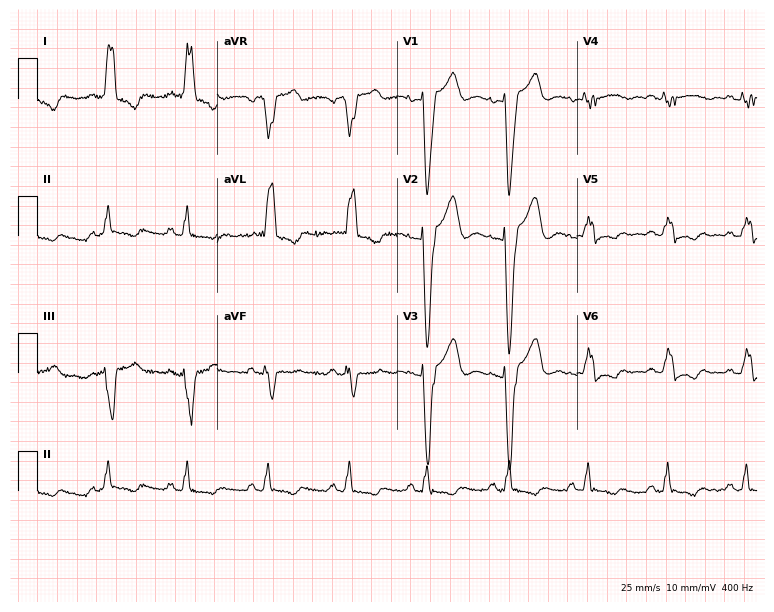
Resting 12-lead electrocardiogram. Patient: an 82-year-old female. The tracing shows left bundle branch block.